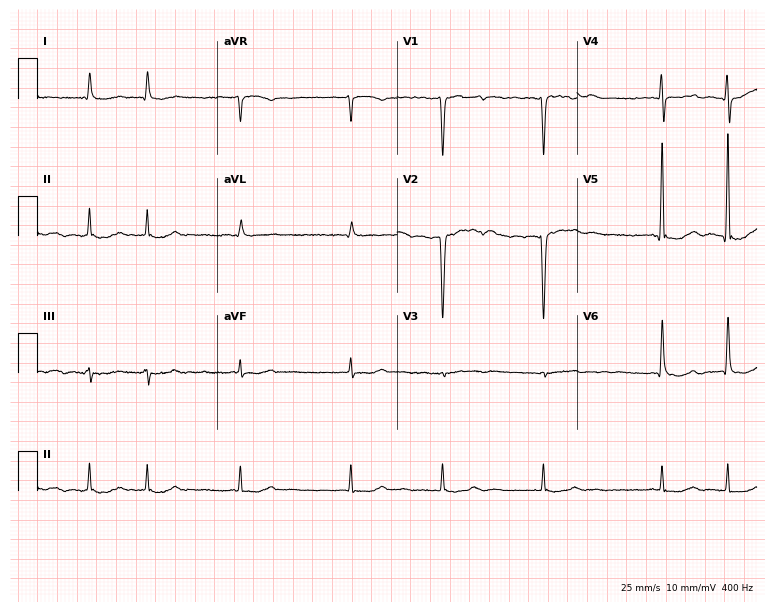
12-lead ECG from a male patient, 78 years old (7.3-second recording at 400 Hz). Shows atrial fibrillation.